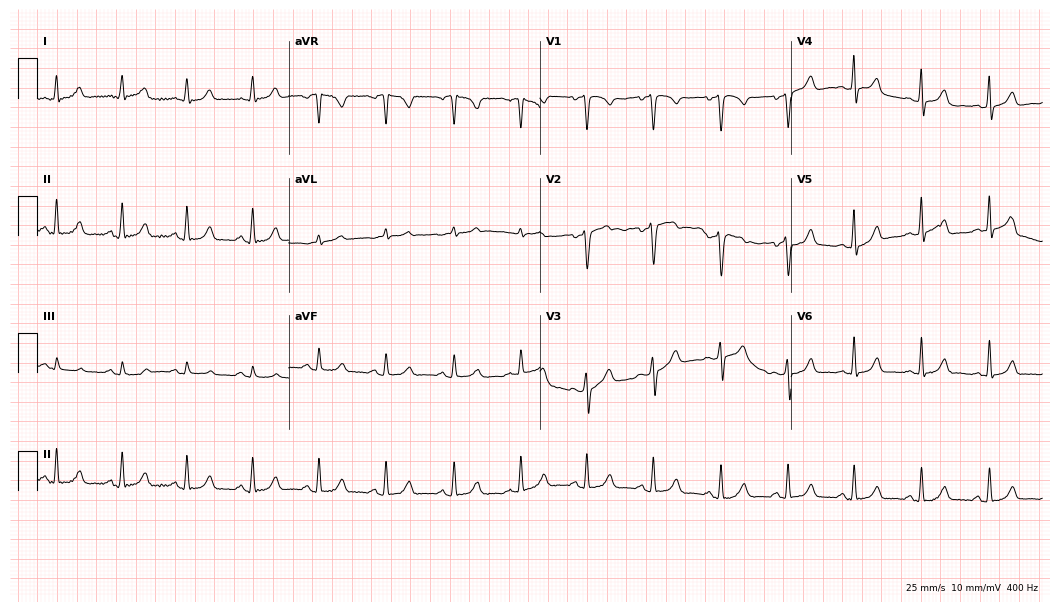
Standard 12-lead ECG recorded from a 30-year-old woman. Read as a normal ECG.